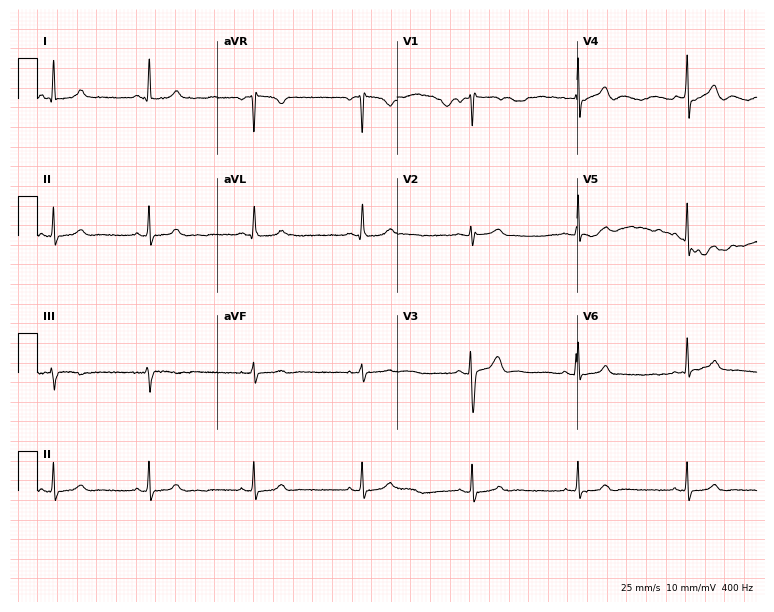
Standard 12-lead ECG recorded from a 36-year-old female (7.3-second recording at 400 Hz). Read as a normal ECG.